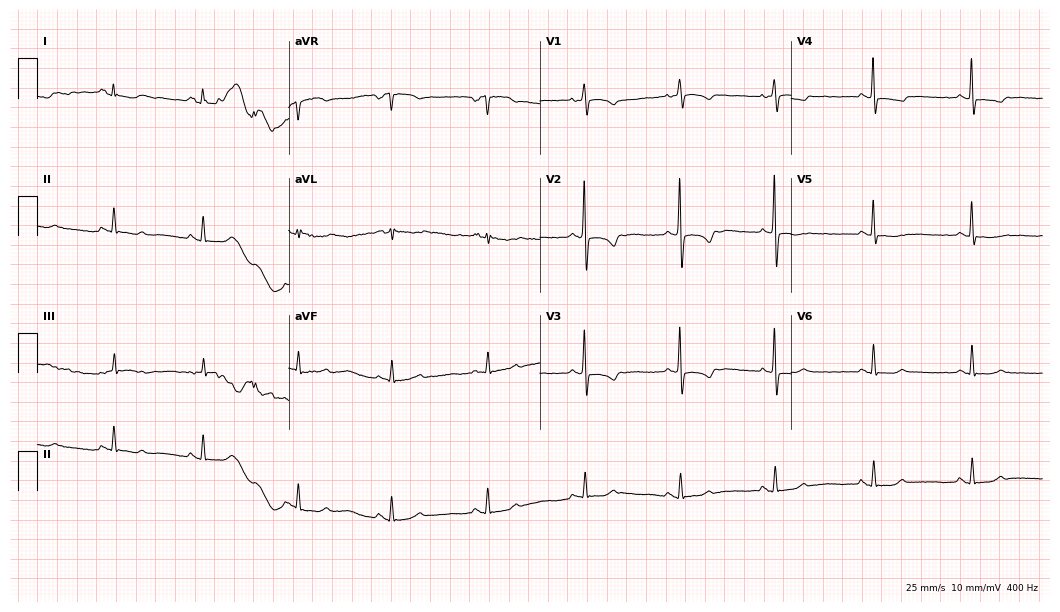
ECG (10.2-second recording at 400 Hz) — a female patient, 25 years old. Screened for six findings — first-degree AV block, right bundle branch block, left bundle branch block, sinus bradycardia, atrial fibrillation, sinus tachycardia — none is recorded. Other findings, if any, are not listed.